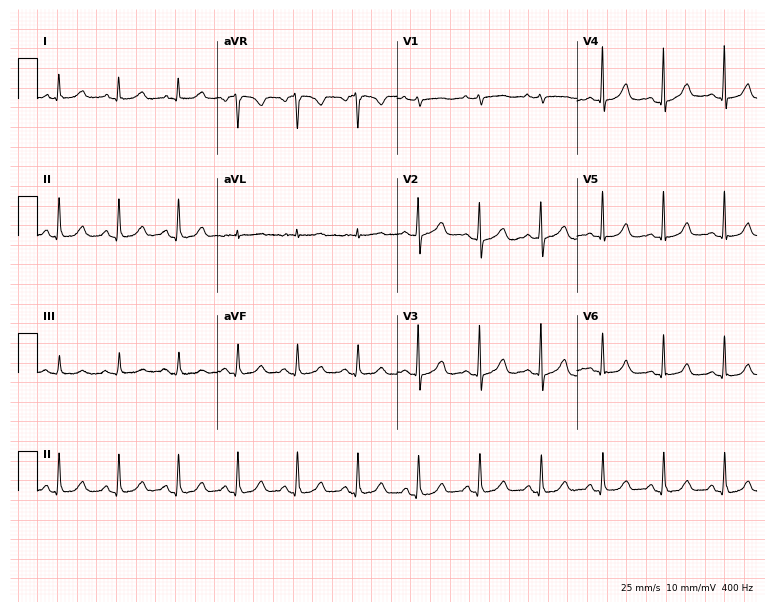
Resting 12-lead electrocardiogram. Patient: a 52-year-old female. Read as a normal ECG.